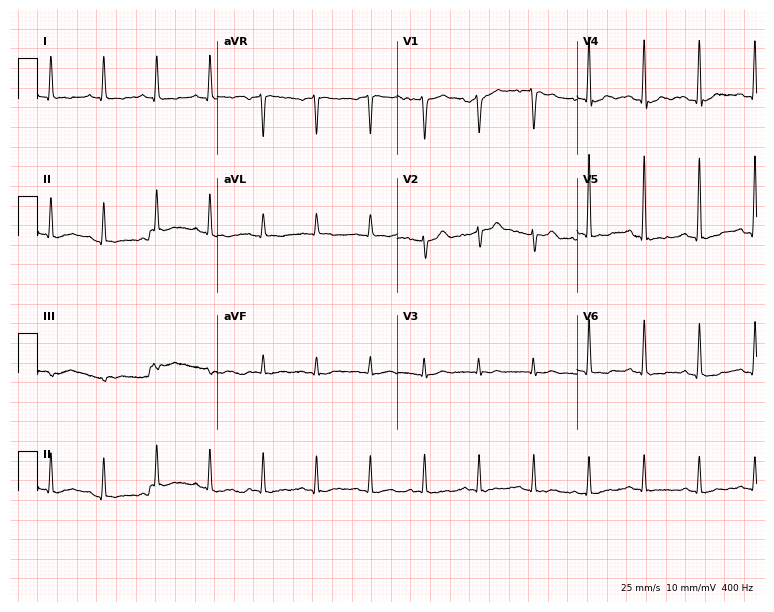
12-lead ECG from a male patient, 71 years old. Findings include sinus tachycardia (a sinus rate of 100 beats per minute or more).